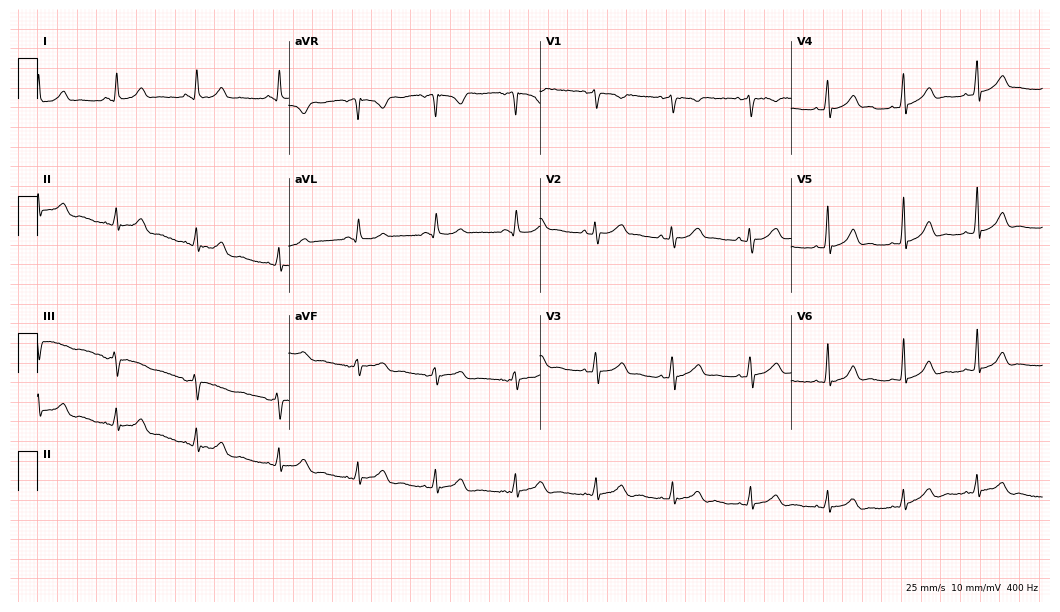
12-lead ECG (10.2-second recording at 400 Hz) from a female, 33 years old. Screened for six findings — first-degree AV block, right bundle branch block, left bundle branch block, sinus bradycardia, atrial fibrillation, sinus tachycardia — none is recorded.